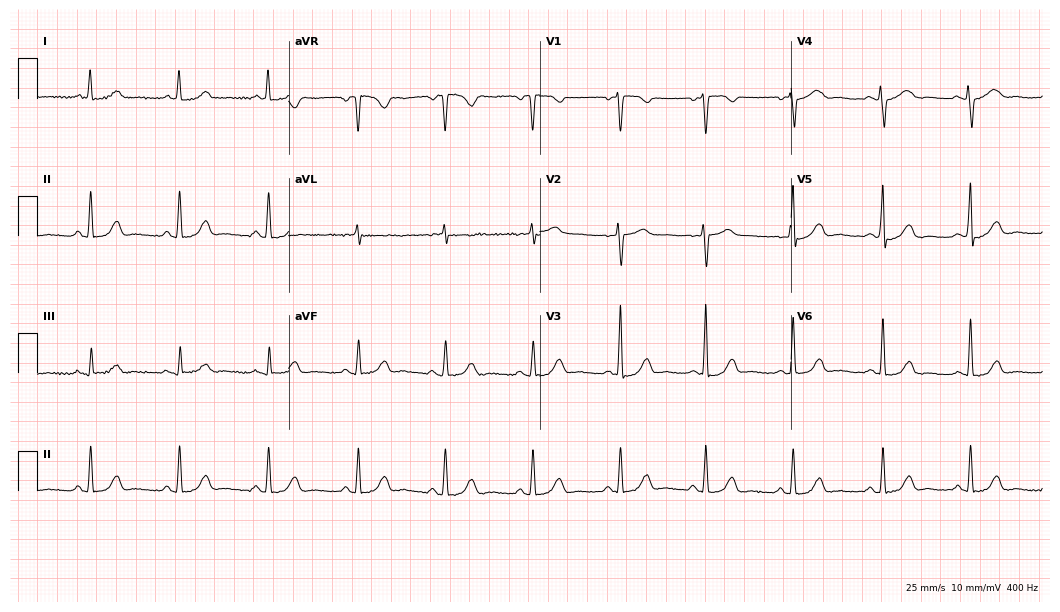
12-lead ECG from a female patient, 57 years old. Labelled as a normal ECG.